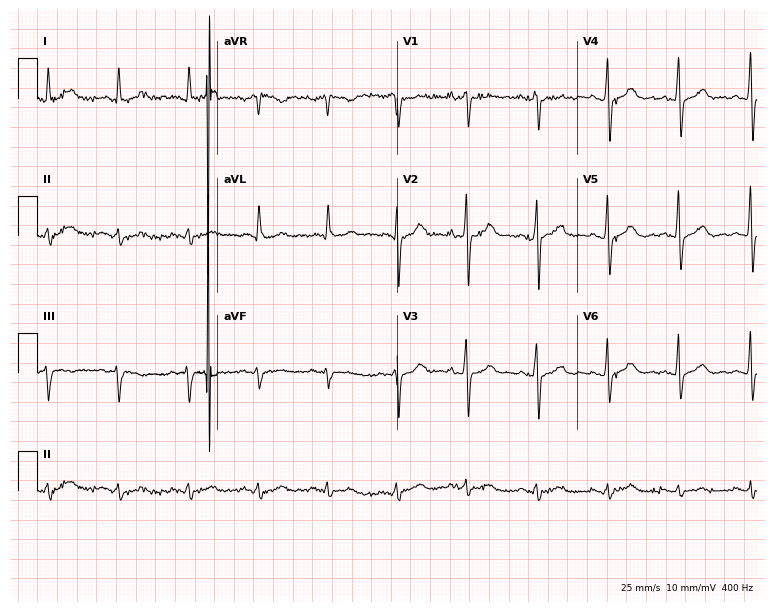
ECG — a male, 61 years old. Labelled as a normal ECG.